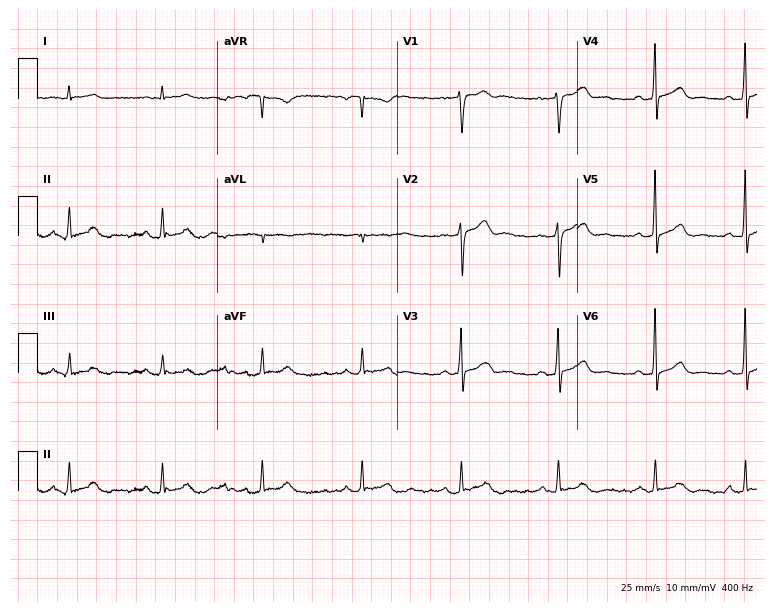
Resting 12-lead electrocardiogram. Patient: a male, 34 years old. Read as a normal ECG.